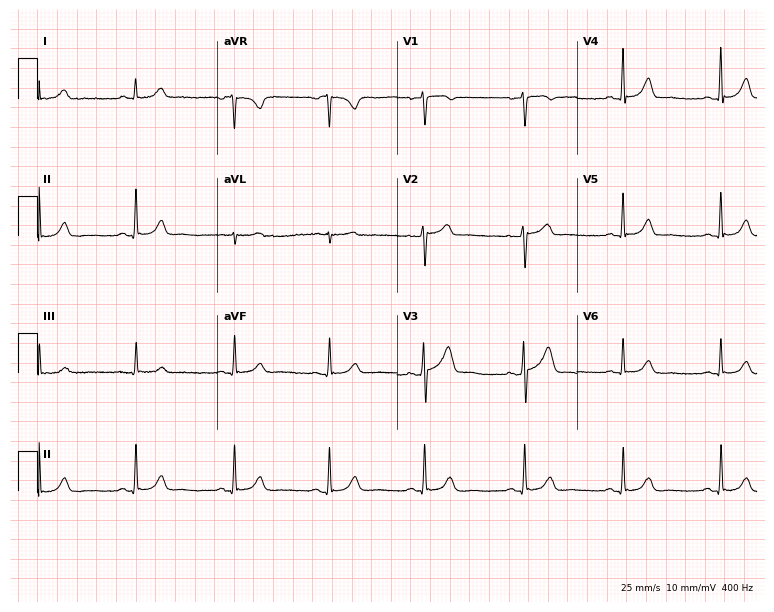
Resting 12-lead electrocardiogram. Patient: a male, 45 years old. Read as a normal ECG.